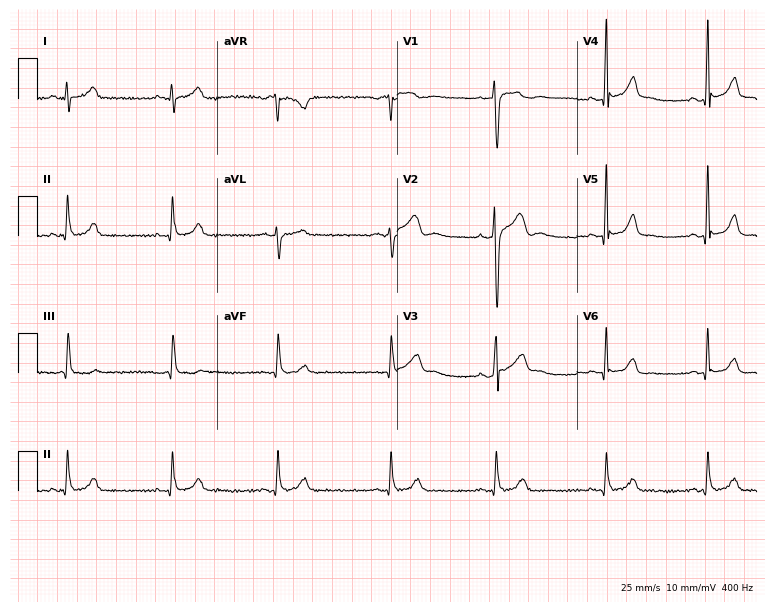
ECG (7.3-second recording at 400 Hz) — a 29-year-old male. Labelled as a normal ECG.